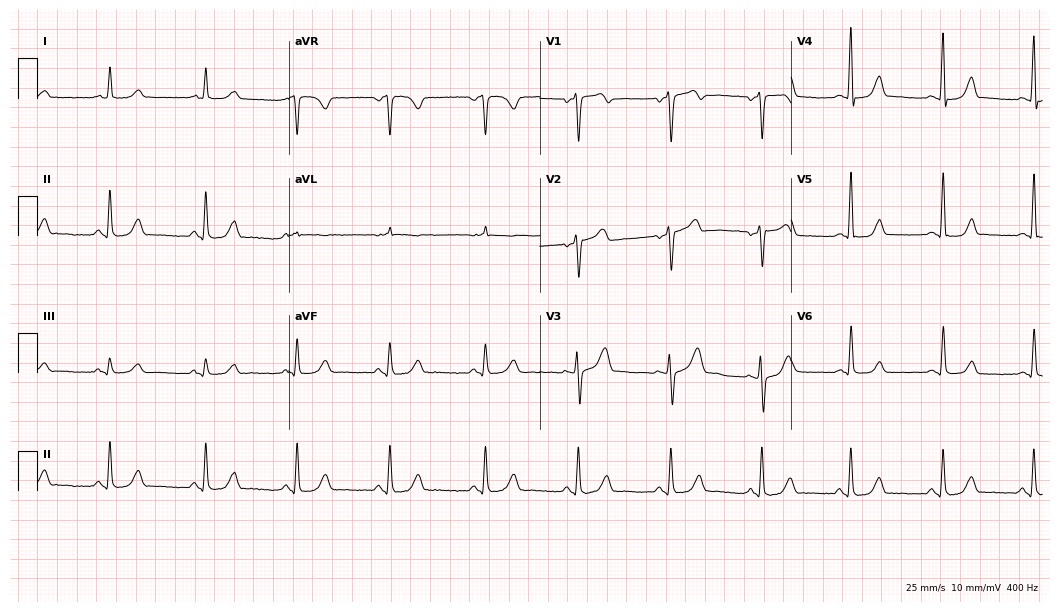
12-lead ECG from a 53-year-old female. Labelled as a normal ECG.